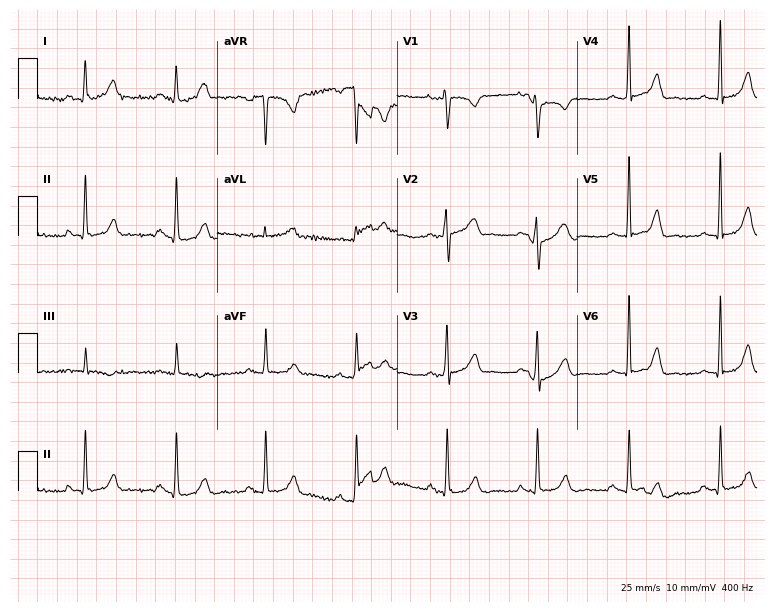
Resting 12-lead electrocardiogram. Patient: a man, 46 years old. None of these six findings is recorded: first-degree AV block, right bundle branch block, left bundle branch block, sinus bradycardia, atrial fibrillation, sinus tachycardia.